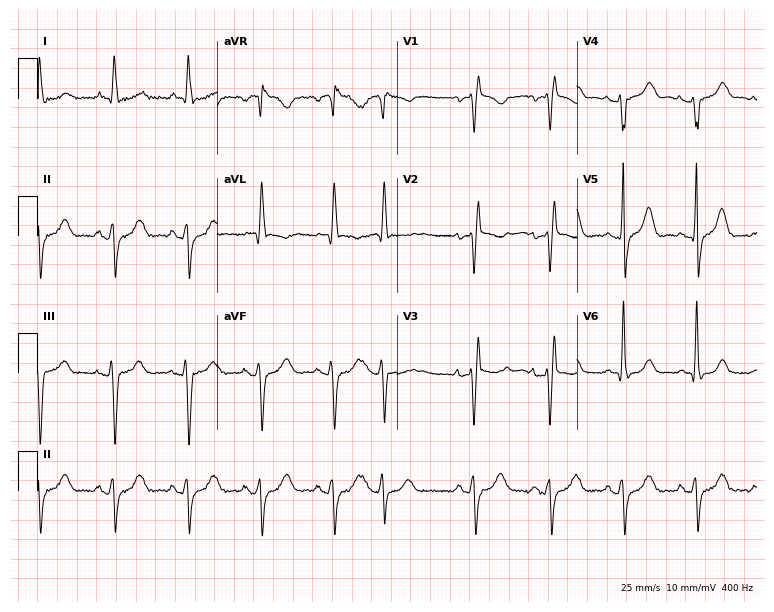
12-lead ECG from a female, 84 years old (7.3-second recording at 400 Hz). Shows right bundle branch block (RBBB).